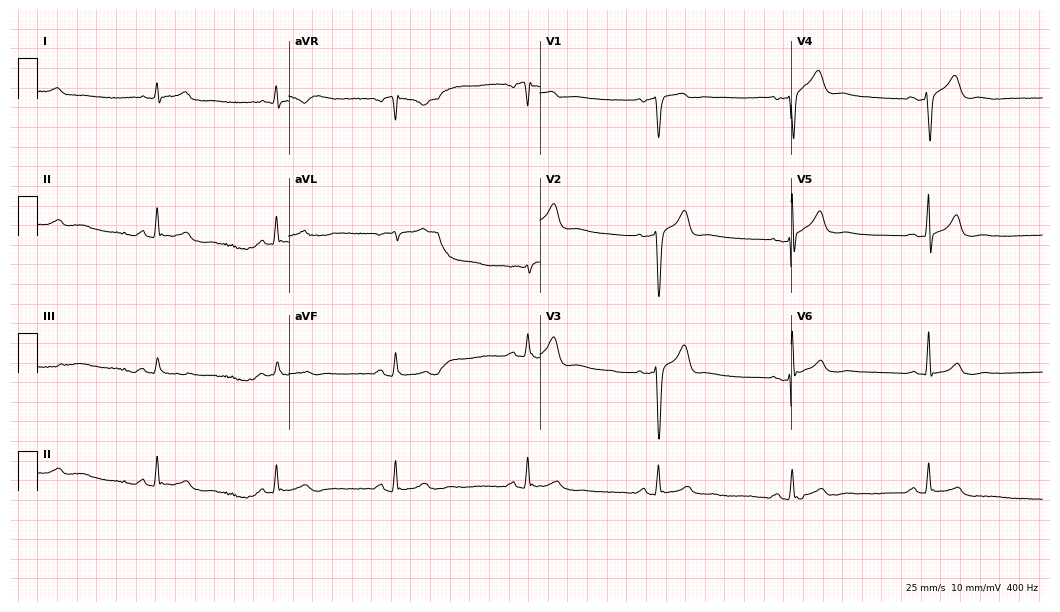
Electrocardiogram, a man, 60 years old. Interpretation includes sinus bradycardia (a sinus rate of 50 beats per minute or less).